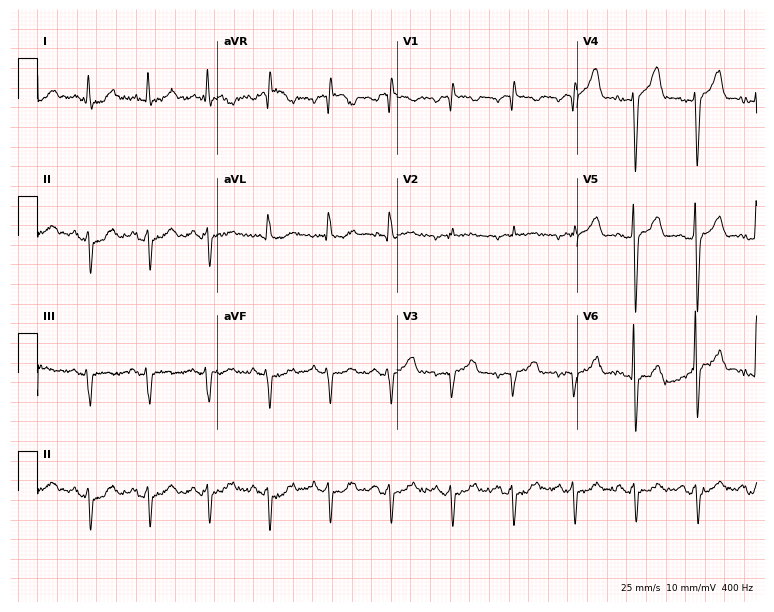
ECG (7.3-second recording at 400 Hz) — a man, 61 years old. Screened for six findings — first-degree AV block, right bundle branch block, left bundle branch block, sinus bradycardia, atrial fibrillation, sinus tachycardia — none is recorded. Other findings, if any, are not listed.